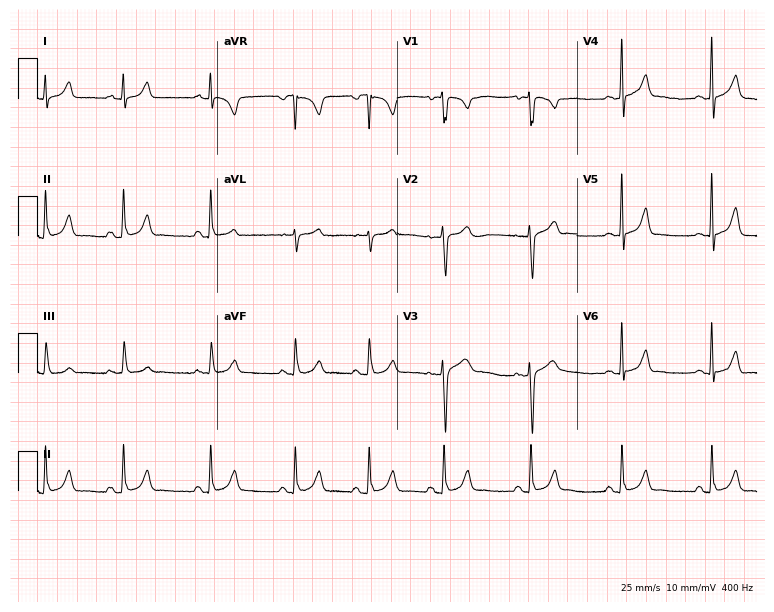
12-lead ECG from a 17-year-old female. Labelled as a normal ECG.